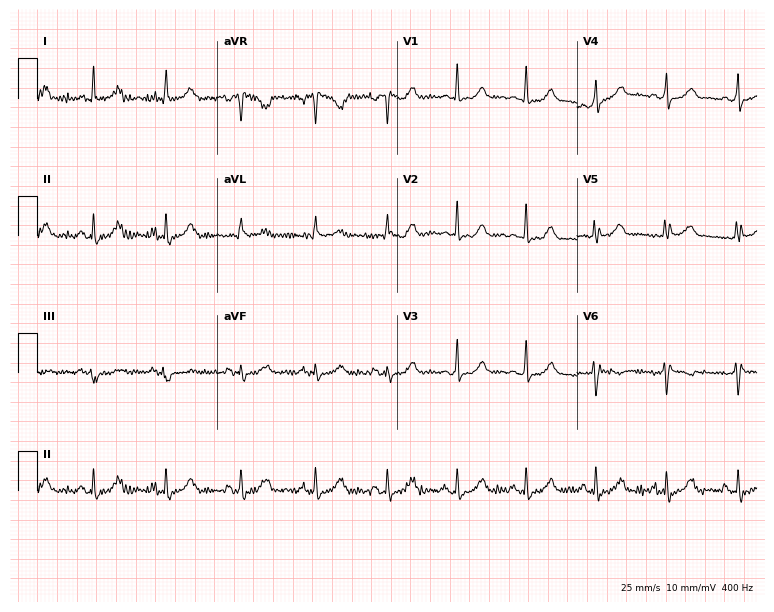
12-lead ECG (7.3-second recording at 400 Hz) from a female patient, 39 years old. Screened for six findings — first-degree AV block, right bundle branch block (RBBB), left bundle branch block (LBBB), sinus bradycardia, atrial fibrillation (AF), sinus tachycardia — none is recorded.